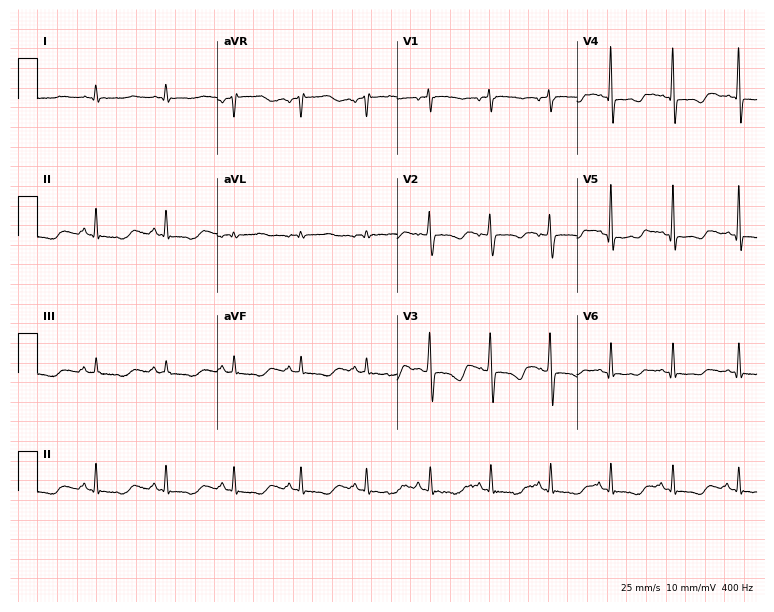
ECG (7.3-second recording at 400 Hz) — a man, 51 years old. Screened for six findings — first-degree AV block, right bundle branch block (RBBB), left bundle branch block (LBBB), sinus bradycardia, atrial fibrillation (AF), sinus tachycardia — none is recorded.